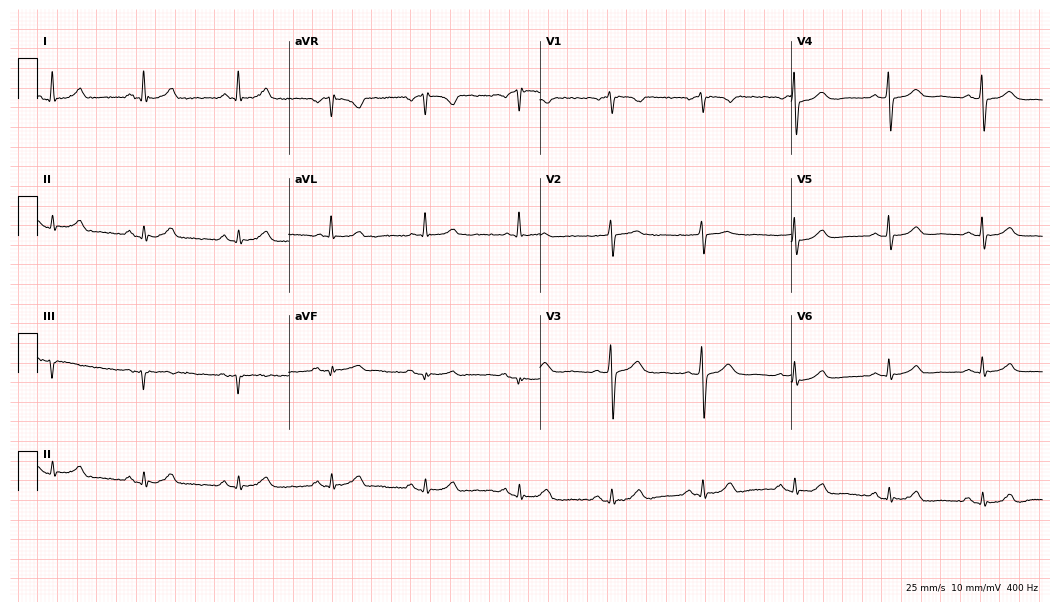
ECG (10.2-second recording at 400 Hz) — a 68-year-old female patient. Labelled as a normal ECG.